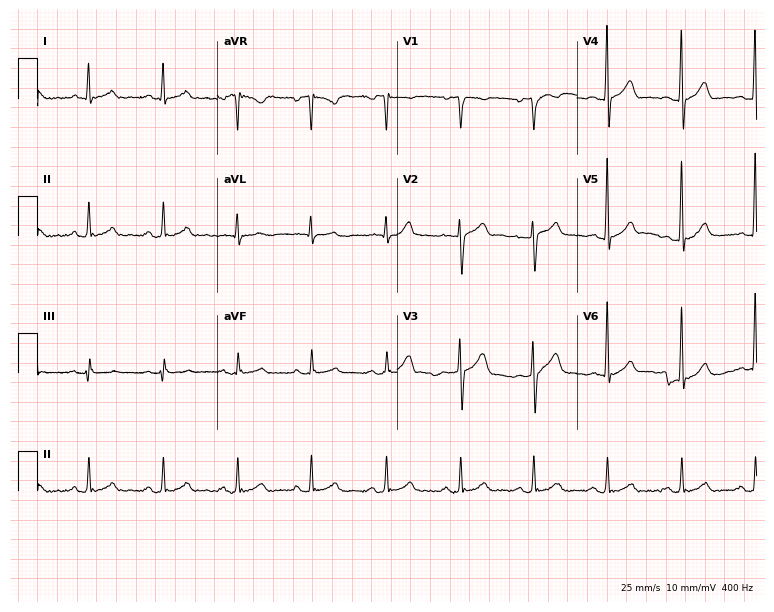
12-lead ECG (7.3-second recording at 400 Hz) from a 57-year-old male patient. Labelled as a normal ECG.